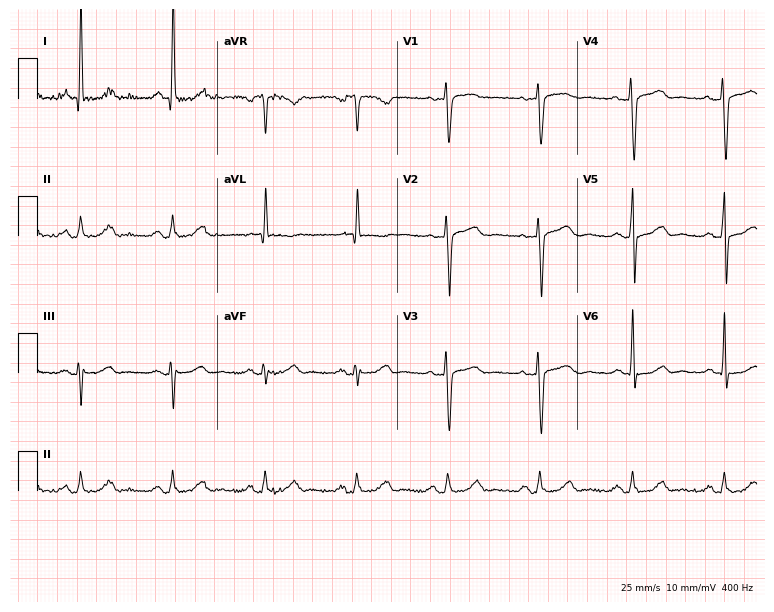
Electrocardiogram, a male, 83 years old. Overall reading on record: normal ECG.